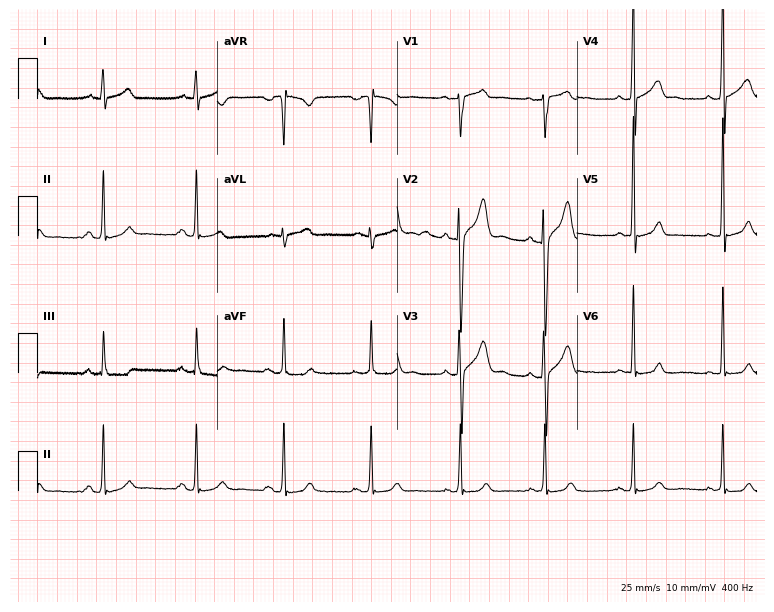
Electrocardiogram (7.3-second recording at 400 Hz), an 18-year-old male. Of the six screened findings (first-degree AV block, right bundle branch block (RBBB), left bundle branch block (LBBB), sinus bradycardia, atrial fibrillation (AF), sinus tachycardia), none is recorded.